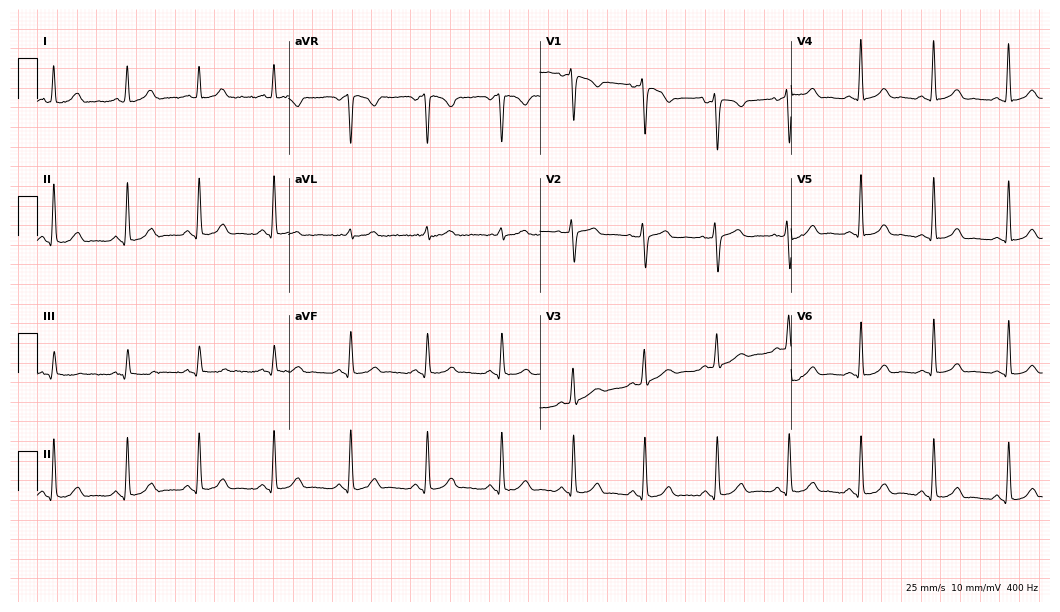
Standard 12-lead ECG recorded from a female, 35 years old (10.2-second recording at 400 Hz). Read as a normal ECG.